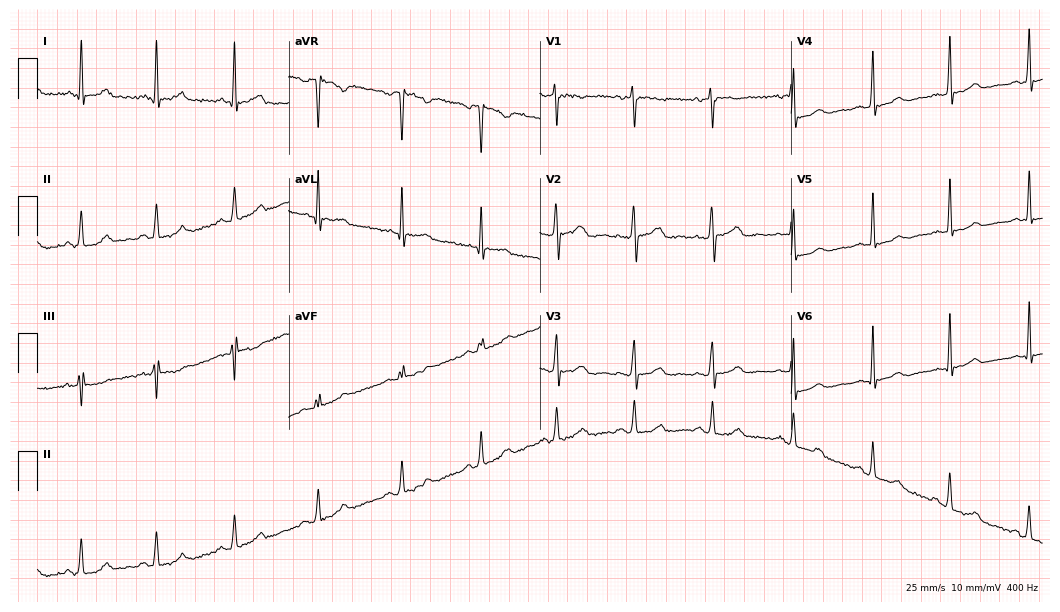
12-lead ECG from a 37-year-old female (10.2-second recording at 400 Hz). No first-degree AV block, right bundle branch block (RBBB), left bundle branch block (LBBB), sinus bradycardia, atrial fibrillation (AF) or sinus tachycardia recorded for this tracing. Only these six findings were labelled.